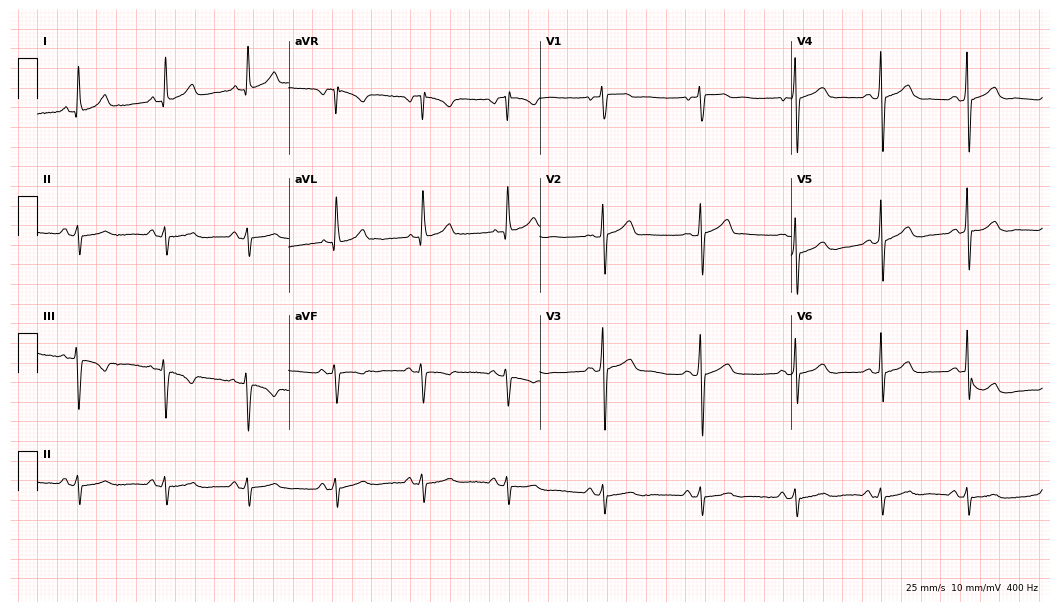
Resting 12-lead electrocardiogram. Patient: a female, 19 years old. None of these six findings is recorded: first-degree AV block, right bundle branch block (RBBB), left bundle branch block (LBBB), sinus bradycardia, atrial fibrillation (AF), sinus tachycardia. Only these six findings were labelled.